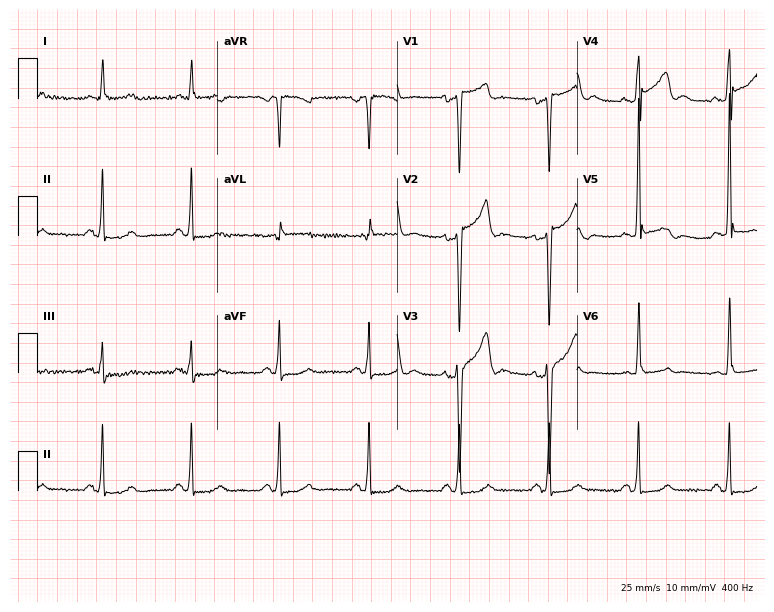
12-lead ECG from a 56-year-old male (7.3-second recording at 400 Hz). No first-degree AV block, right bundle branch block, left bundle branch block, sinus bradycardia, atrial fibrillation or sinus tachycardia recorded for this tracing.